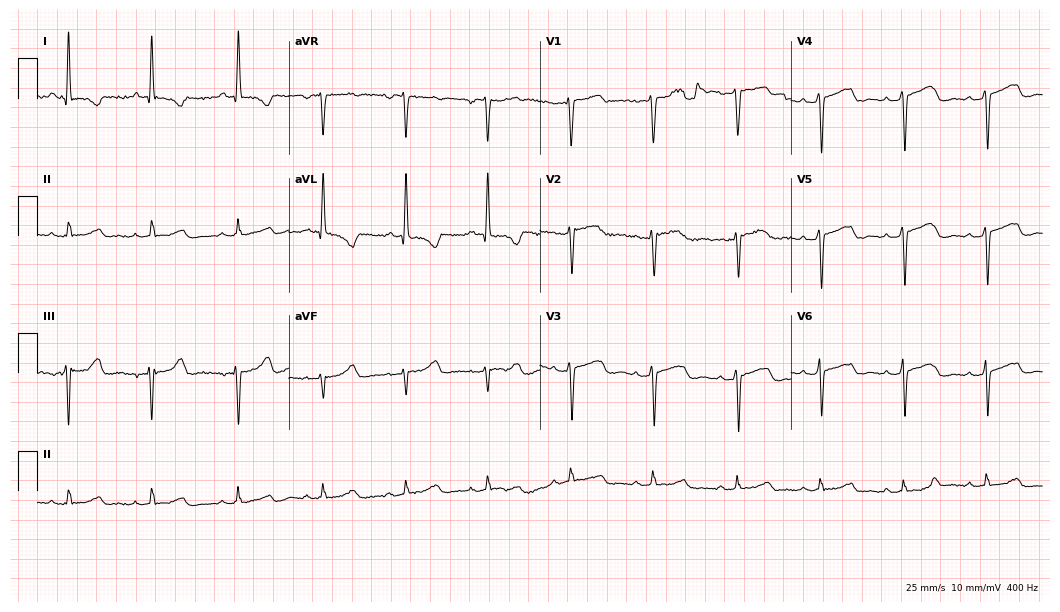
12-lead ECG (10.2-second recording at 400 Hz) from a 63-year-old female patient. Screened for six findings — first-degree AV block, right bundle branch block, left bundle branch block, sinus bradycardia, atrial fibrillation, sinus tachycardia — none is recorded. Findings outside these six are not listed.